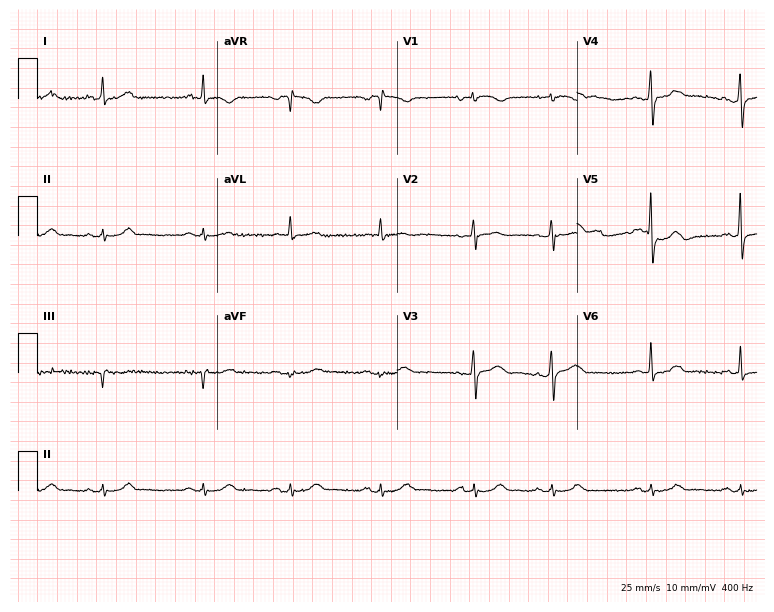
Electrocardiogram (7.3-second recording at 400 Hz), a female patient, 76 years old. Of the six screened findings (first-degree AV block, right bundle branch block, left bundle branch block, sinus bradycardia, atrial fibrillation, sinus tachycardia), none is recorded. Only these six findings were labelled.